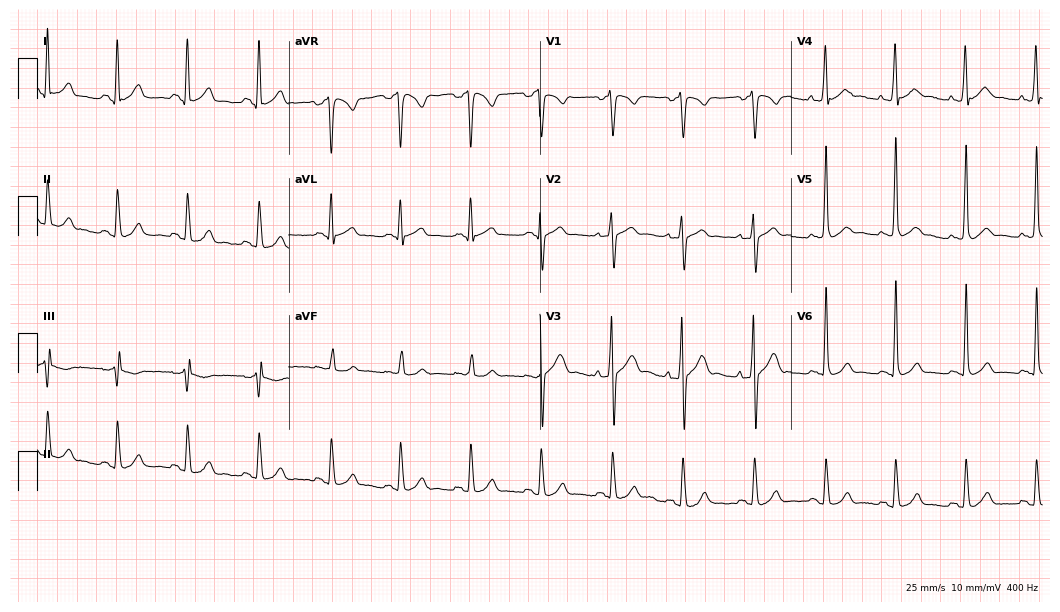
12-lead ECG from a 29-year-old male patient. Recorded interpretation: within normal limits.